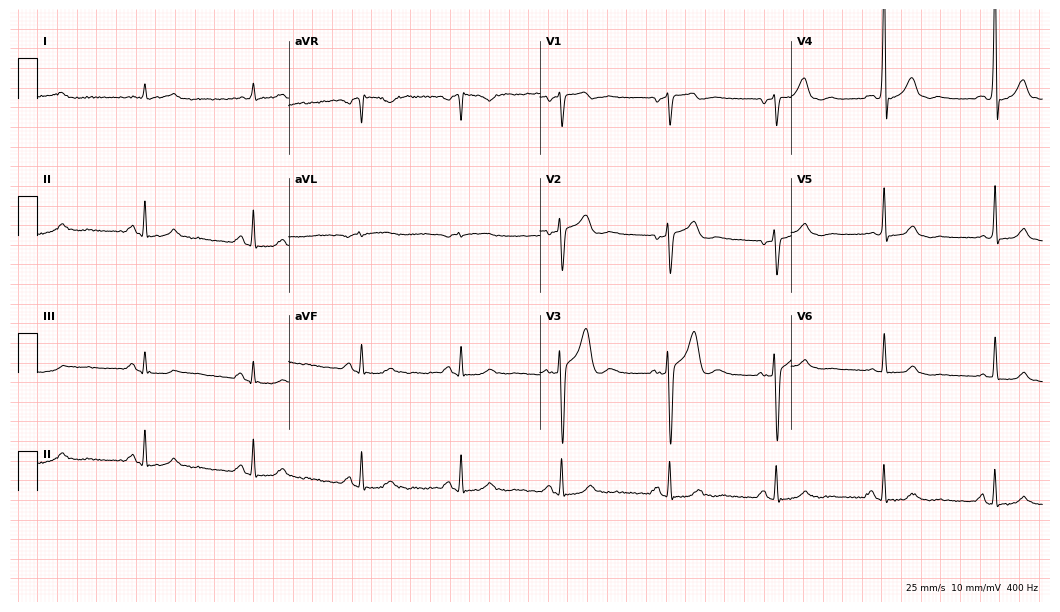
12-lead ECG from a 55-year-old man (10.2-second recording at 400 Hz). Recorded interpretation: within normal limits.